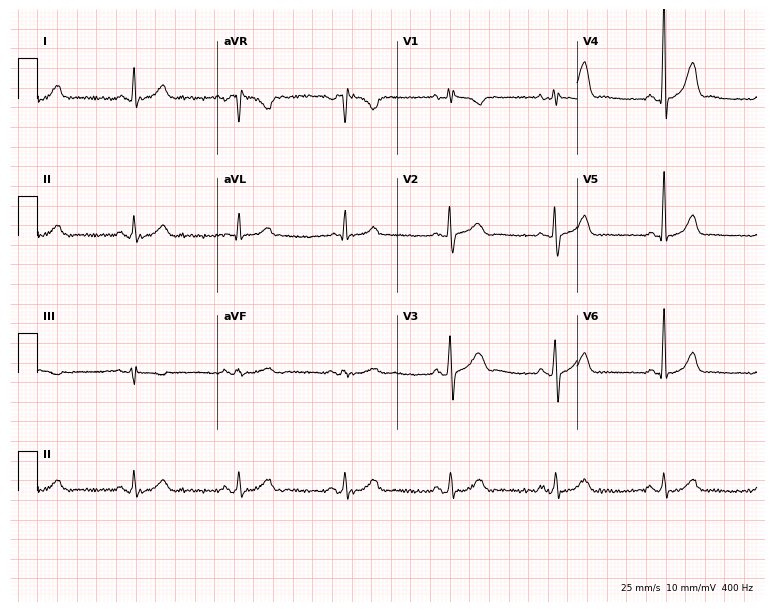
Electrocardiogram, a 60-year-old male patient. Overall reading on record: normal ECG.